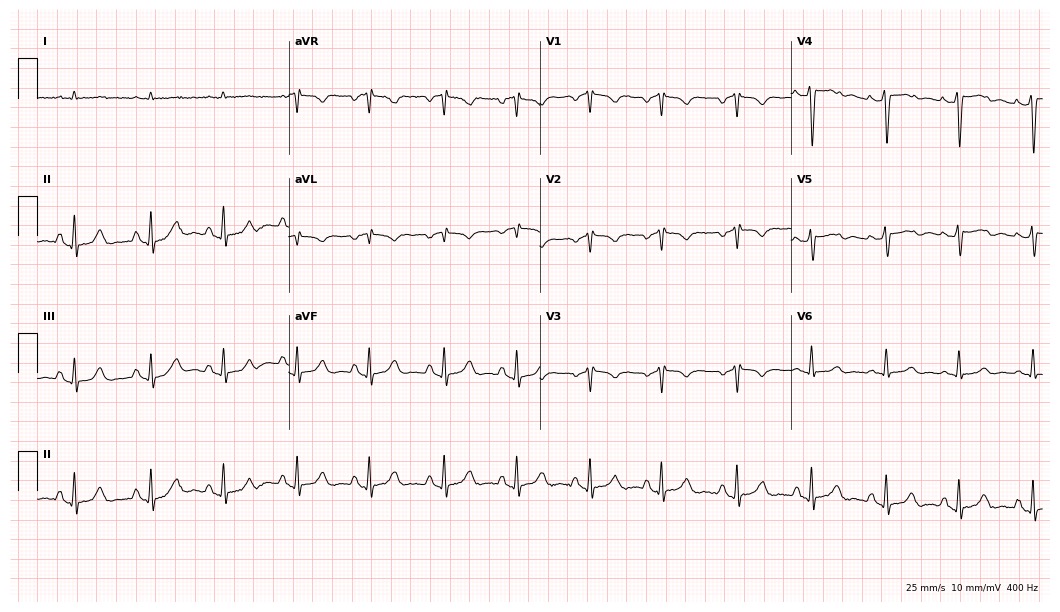
Electrocardiogram, a male patient, 76 years old. Overall reading on record: normal ECG.